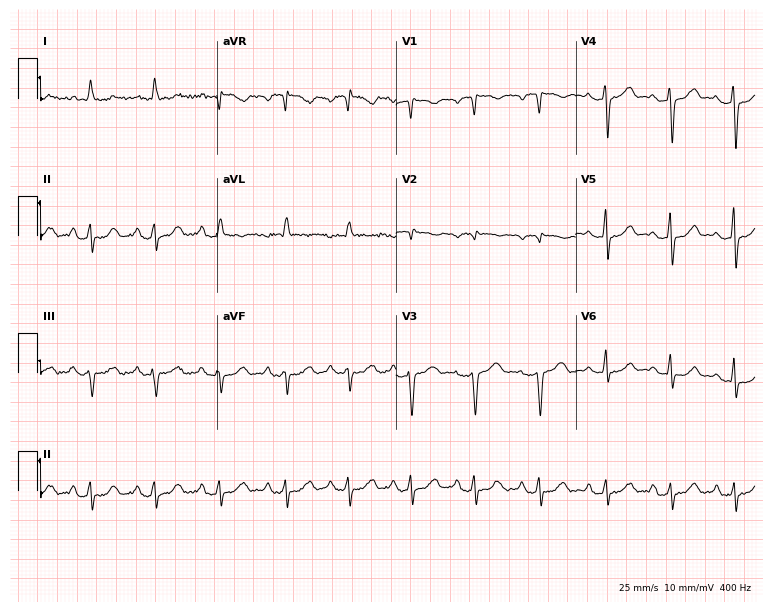
Electrocardiogram, a 61-year-old female patient. Of the six screened findings (first-degree AV block, right bundle branch block, left bundle branch block, sinus bradycardia, atrial fibrillation, sinus tachycardia), none is recorded. Other findings, if any, are not listed.